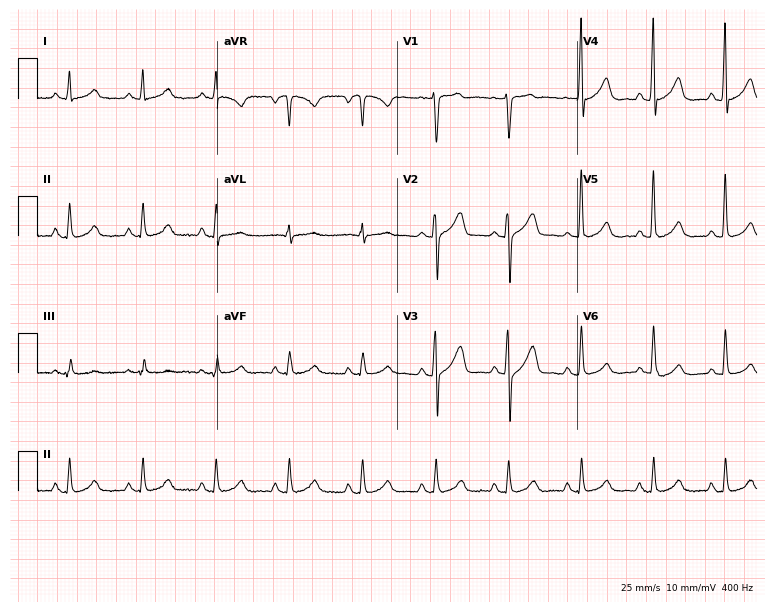
Electrocardiogram (7.3-second recording at 400 Hz), a man, 64 years old. Overall reading on record: normal ECG.